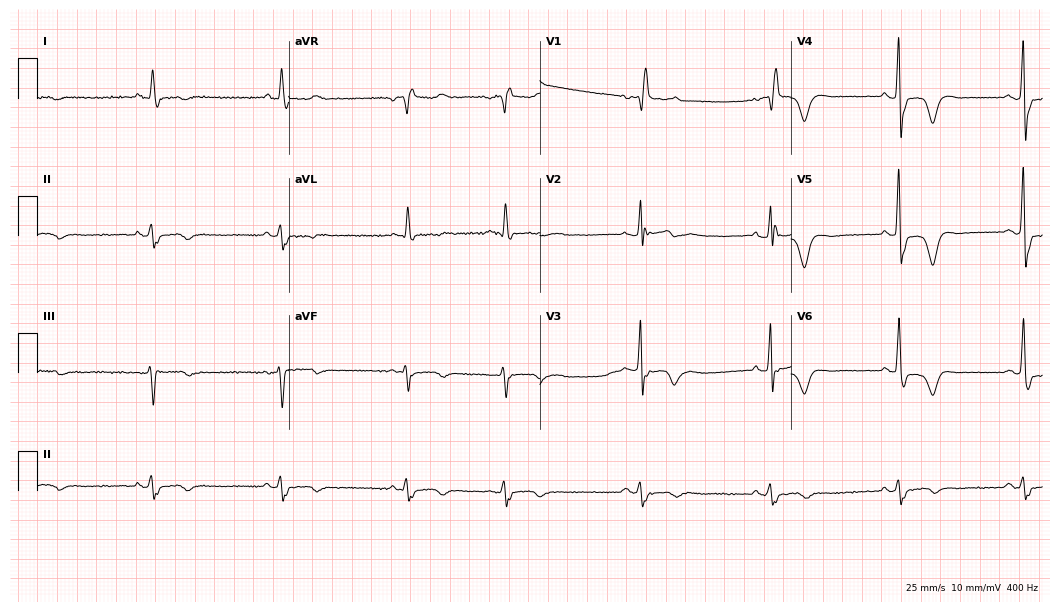
Resting 12-lead electrocardiogram. Patient: a 72-year-old male. The tracing shows right bundle branch block, sinus bradycardia (a sinus rate of 50 beats per minute or less).